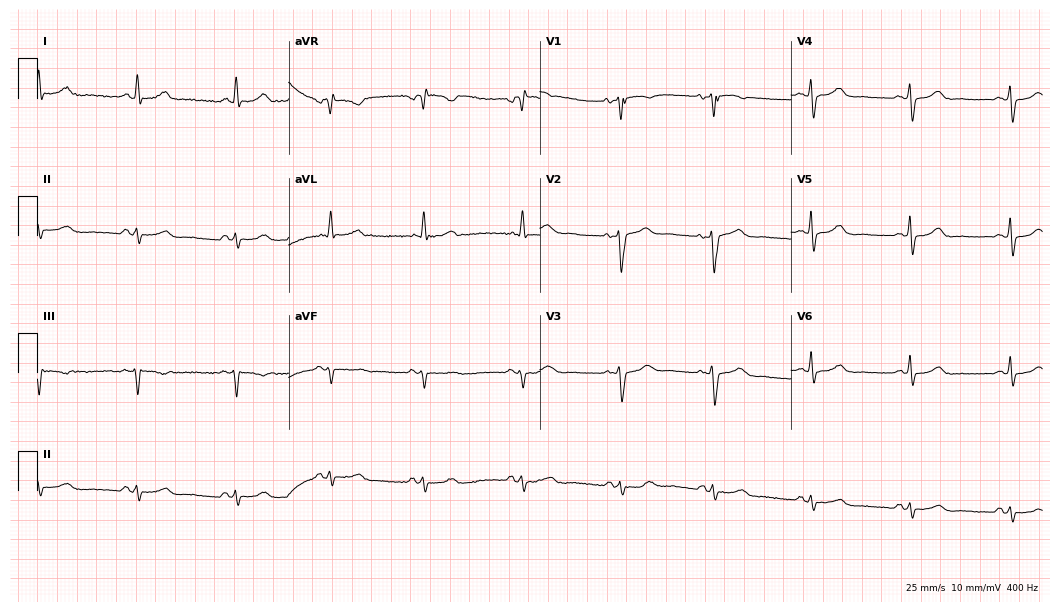
Resting 12-lead electrocardiogram (10.2-second recording at 400 Hz). Patient: a female, 76 years old. None of these six findings is recorded: first-degree AV block, right bundle branch block, left bundle branch block, sinus bradycardia, atrial fibrillation, sinus tachycardia.